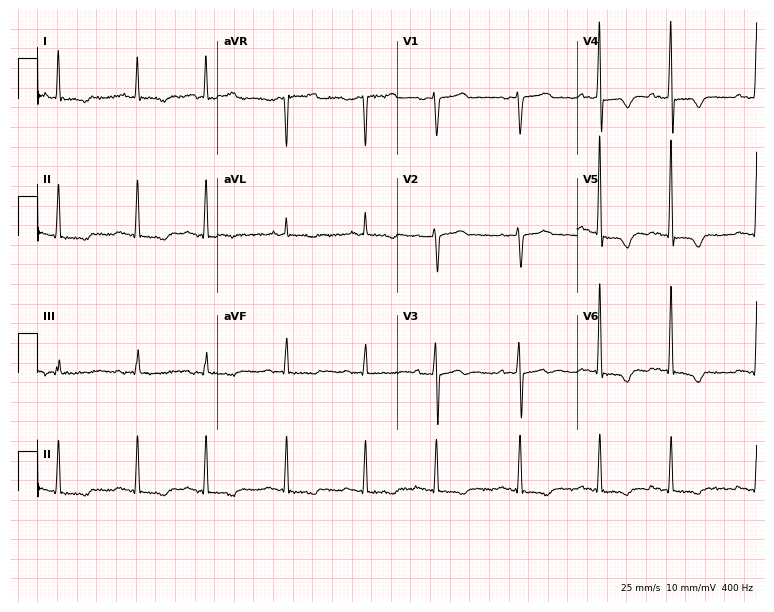
12-lead ECG from a 74-year-old male. Screened for six findings — first-degree AV block, right bundle branch block, left bundle branch block, sinus bradycardia, atrial fibrillation, sinus tachycardia — none is recorded. Only these six findings were labelled.